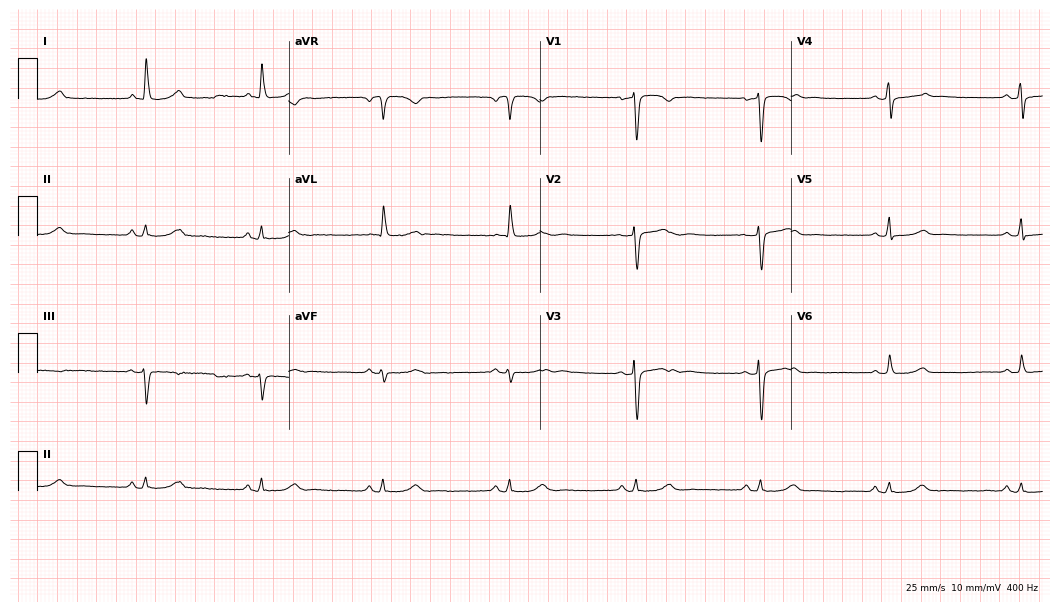
12-lead ECG from a 57-year-old female. Labelled as a normal ECG.